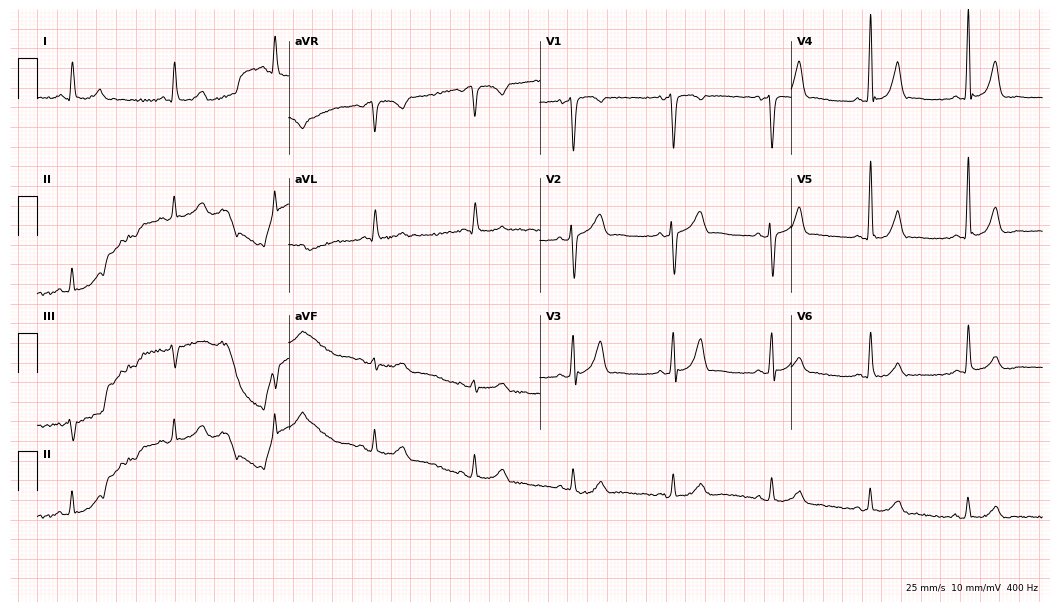
Resting 12-lead electrocardiogram (10.2-second recording at 400 Hz). Patient: a man, 71 years old. None of these six findings is recorded: first-degree AV block, right bundle branch block, left bundle branch block, sinus bradycardia, atrial fibrillation, sinus tachycardia. Only these six findings were labelled.